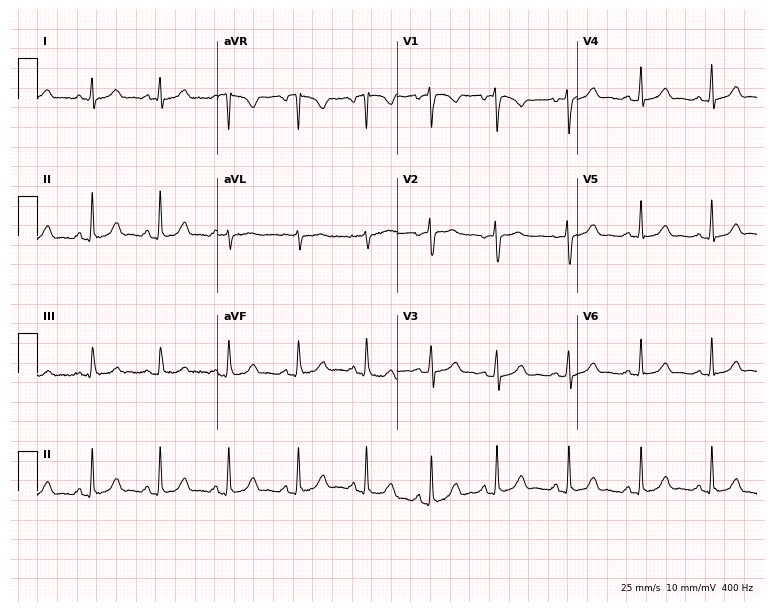
12-lead ECG from a 23-year-old female. Recorded interpretation: within normal limits.